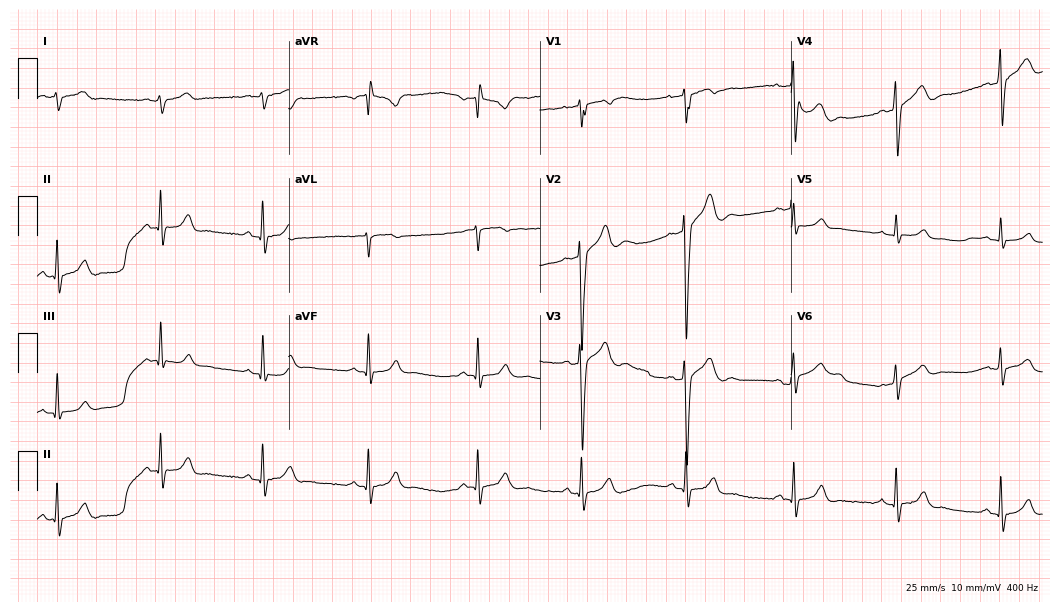
12-lead ECG from a 35-year-old man (10.2-second recording at 400 Hz). No first-degree AV block, right bundle branch block, left bundle branch block, sinus bradycardia, atrial fibrillation or sinus tachycardia recorded for this tracing.